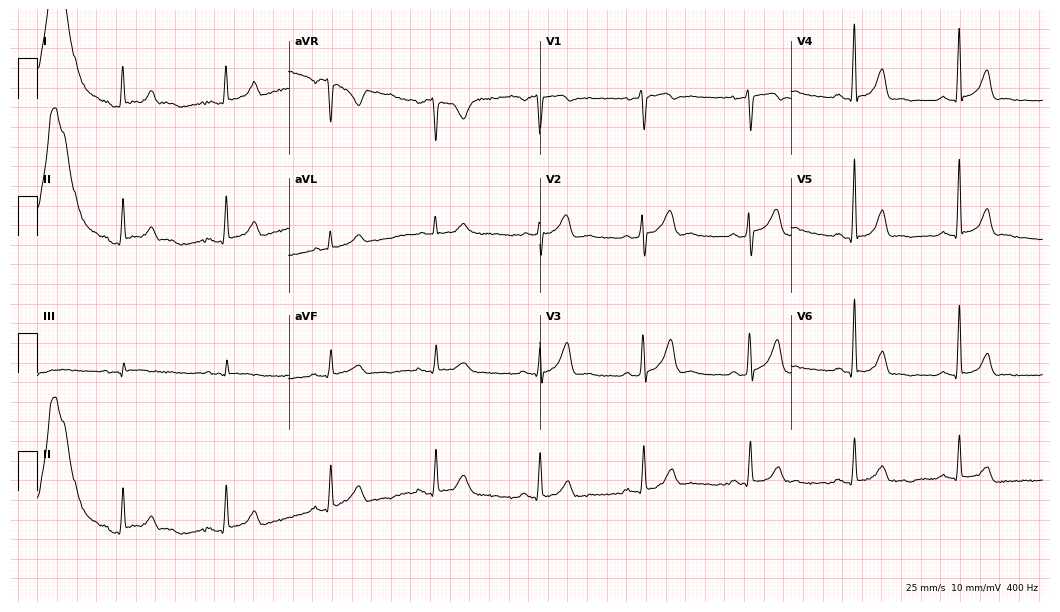
ECG (10.2-second recording at 400 Hz) — a 42-year-old male. Labelled as a normal ECG.